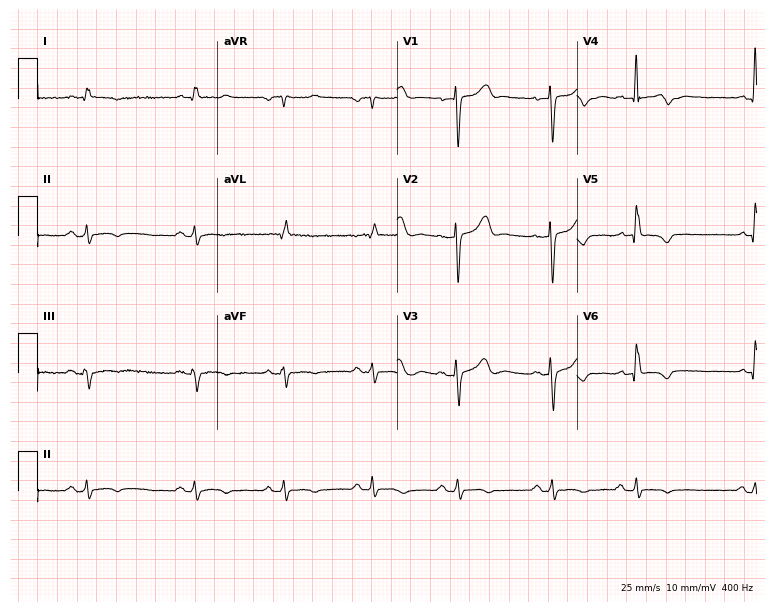
Standard 12-lead ECG recorded from a female, 80 years old. None of these six findings is recorded: first-degree AV block, right bundle branch block, left bundle branch block, sinus bradycardia, atrial fibrillation, sinus tachycardia. Only these six findings were labelled.